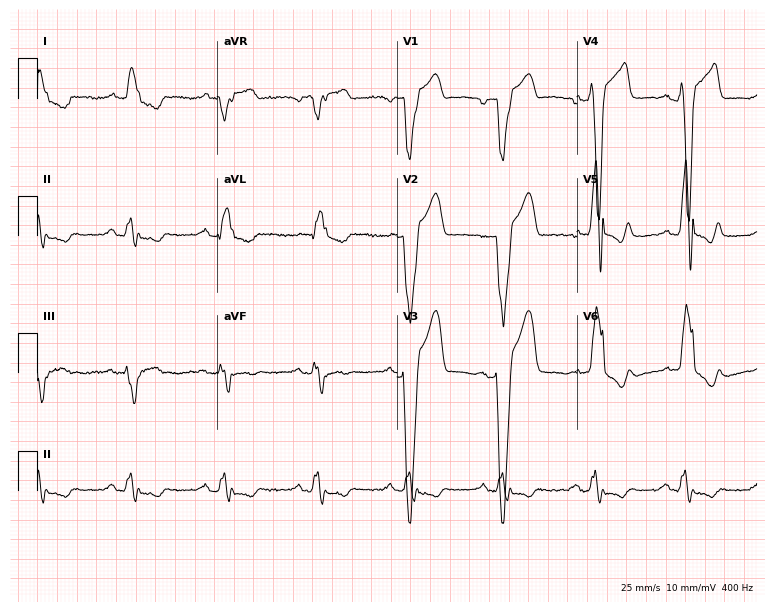
12-lead ECG from a male patient, 64 years old. Findings include left bundle branch block.